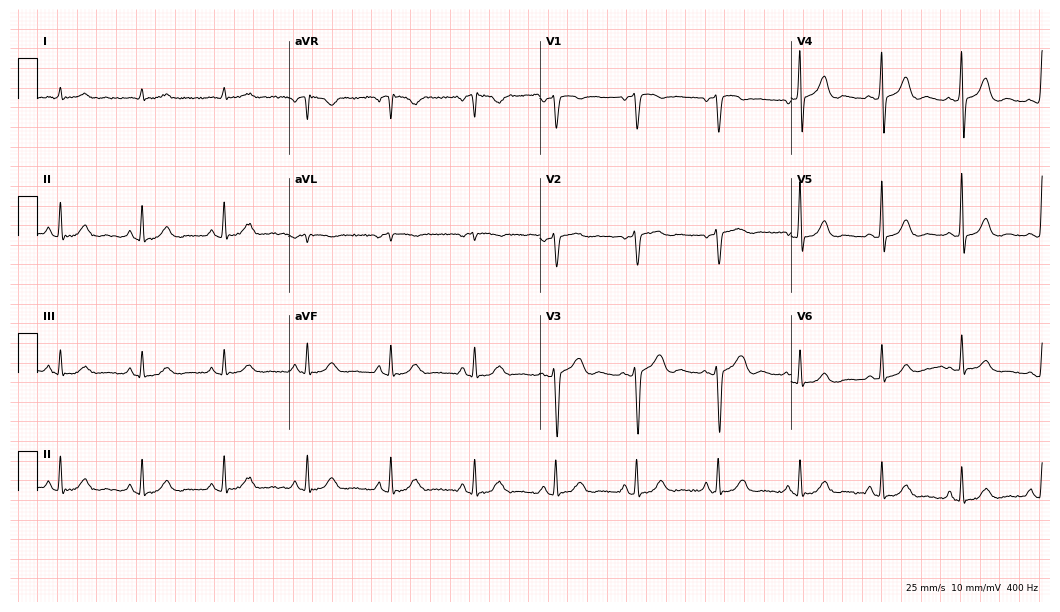
Resting 12-lead electrocardiogram (10.2-second recording at 400 Hz). Patient: a male, 74 years old. Read as a normal ECG.